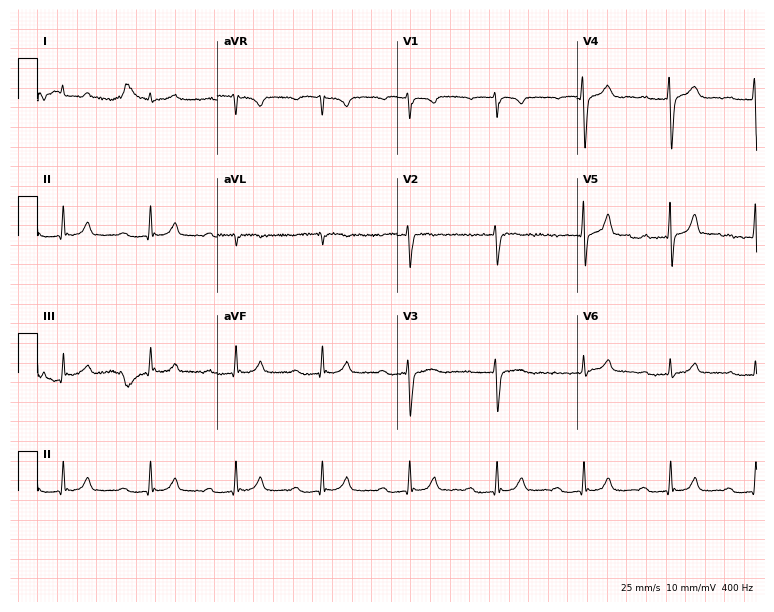
Electrocardiogram, a man, 78 years old. Interpretation includes first-degree AV block.